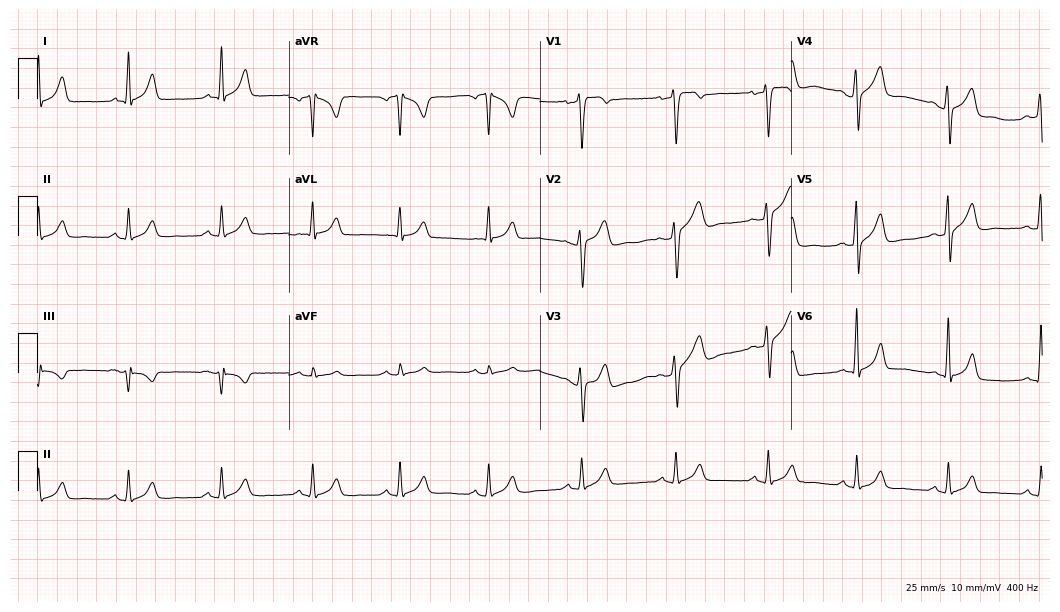
Resting 12-lead electrocardiogram (10.2-second recording at 400 Hz). Patient: a man, 42 years old. None of these six findings is recorded: first-degree AV block, right bundle branch block, left bundle branch block, sinus bradycardia, atrial fibrillation, sinus tachycardia.